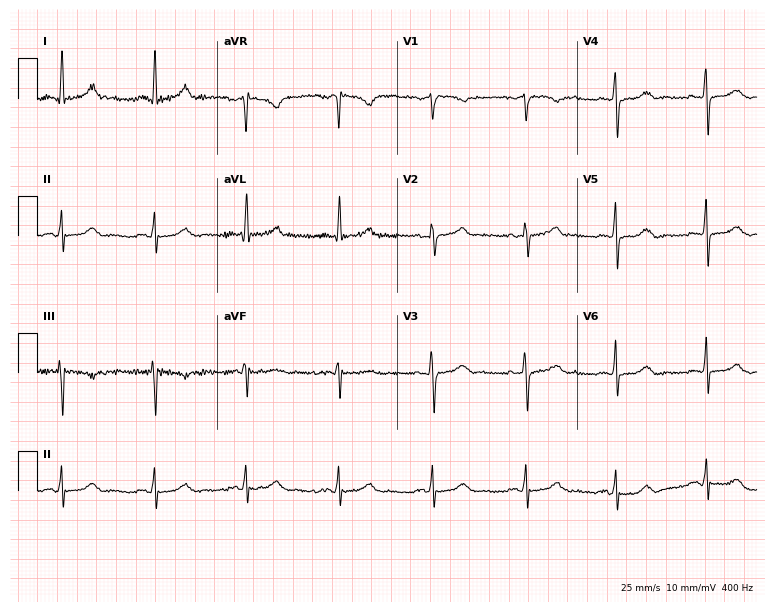
ECG (7.3-second recording at 400 Hz) — a female, 65 years old. Labelled as a normal ECG.